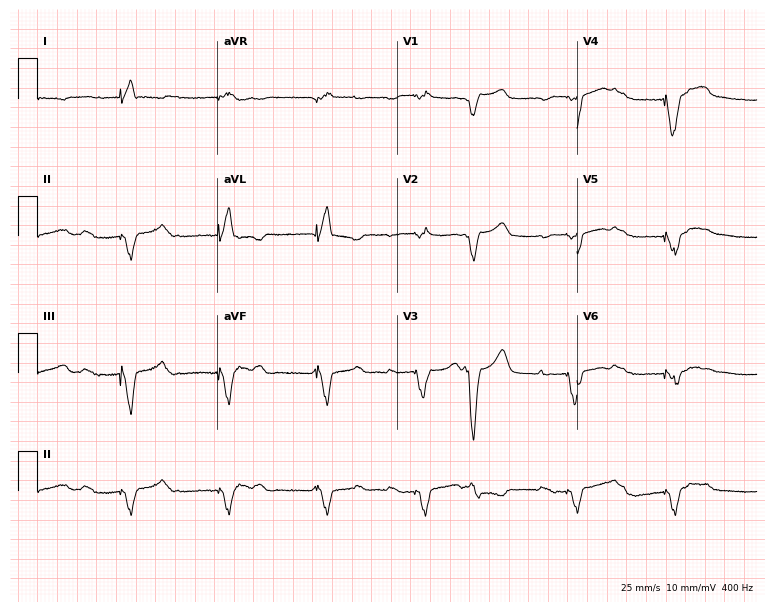
ECG (7.3-second recording at 400 Hz) — a woman, 74 years old. Screened for six findings — first-degree AV block, right bundle branch block, left bundle branch block, sinus bradycardia, atrial fibrillation, sinus tachycardia — none is recorded.